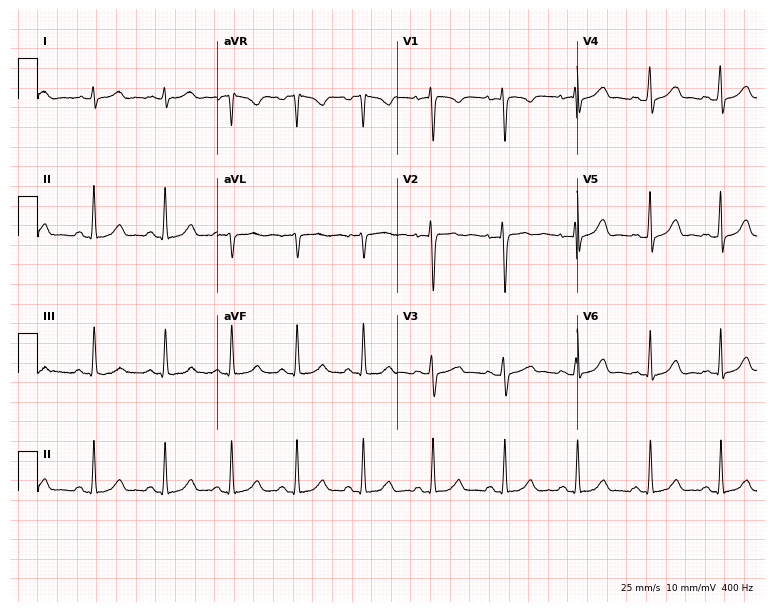
Electrocardiogram, a female, 22 years old. Overall reading on record: normal ECG.